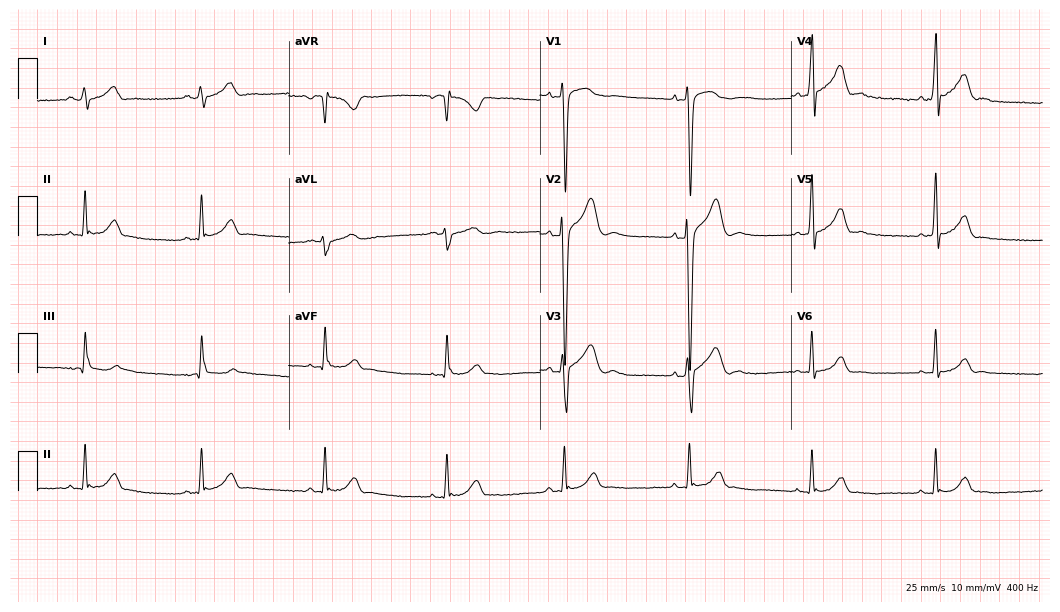
12-lead ECG from a male patient, 17 years old. Findings include sinus bradycardia (a sinus rate of 50 beats per minute or less).